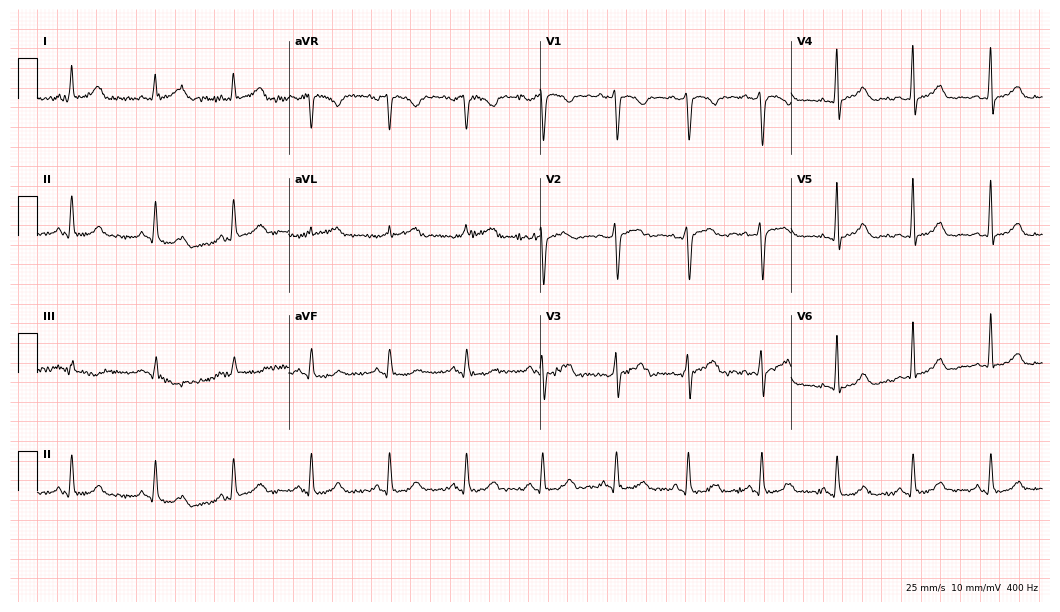
Resting 12-lead electrocardiogram. Patient: a female, 39 years old. Read as a normal ECG.